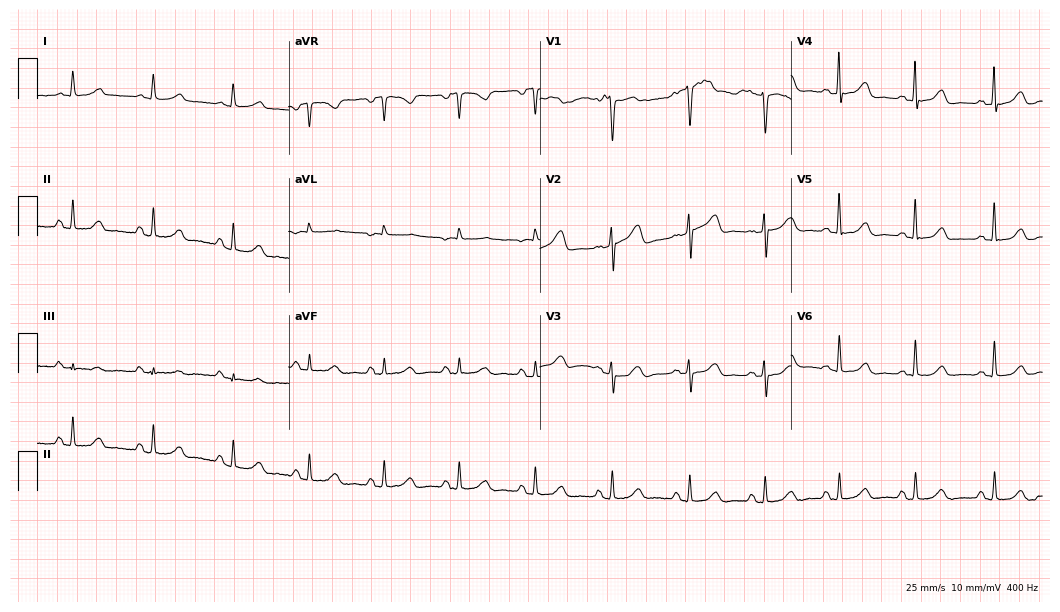
Electrocardiogram, a 55-year-old woman. Overall reading on record: normal ECG.